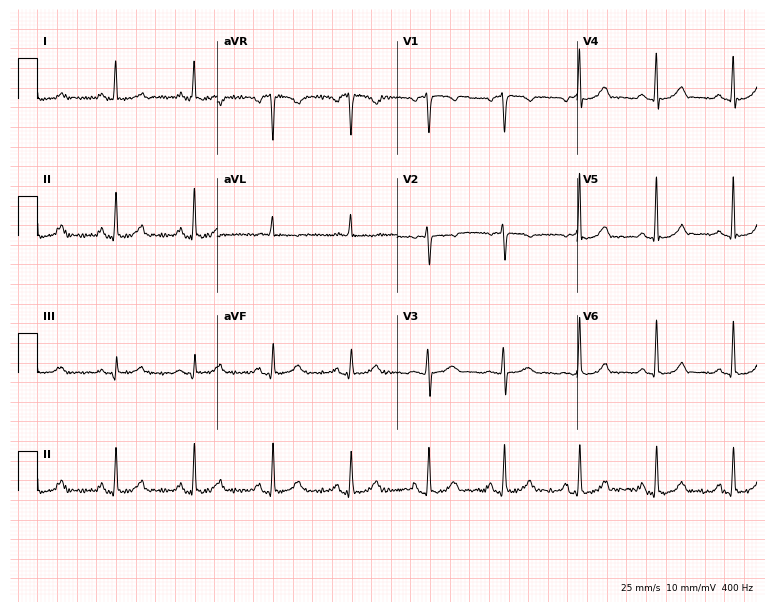
12-lead ECG (7.3-second recording at 400 Hz) from a 53-year-old female patient. Labelled as a normal ECG.